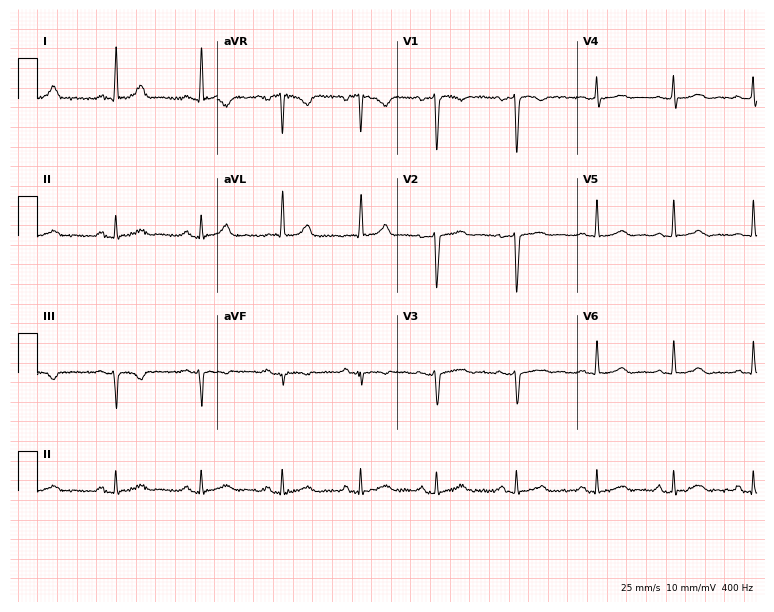
12-lead ECG (7.3-second recording at 400 Hz) from a female patient, 43 years old. Screened for six findings — first-degree AV block, right bundle branch block (RBBB), left bundle branch block (LBBB), sinus bradycardia, atrial fibrillation (AF), sinus tachycardia — none is recorded.